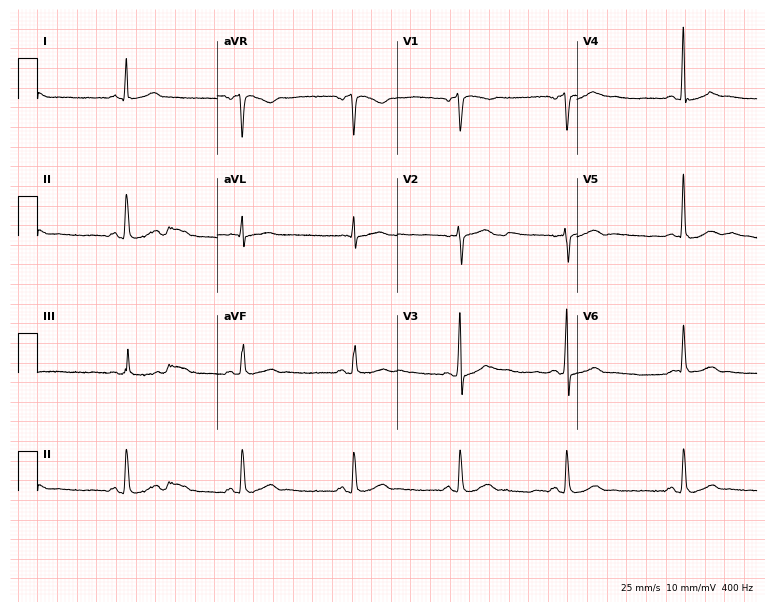
ECG — a 44-year-old man. Labelled as a normal ECG.